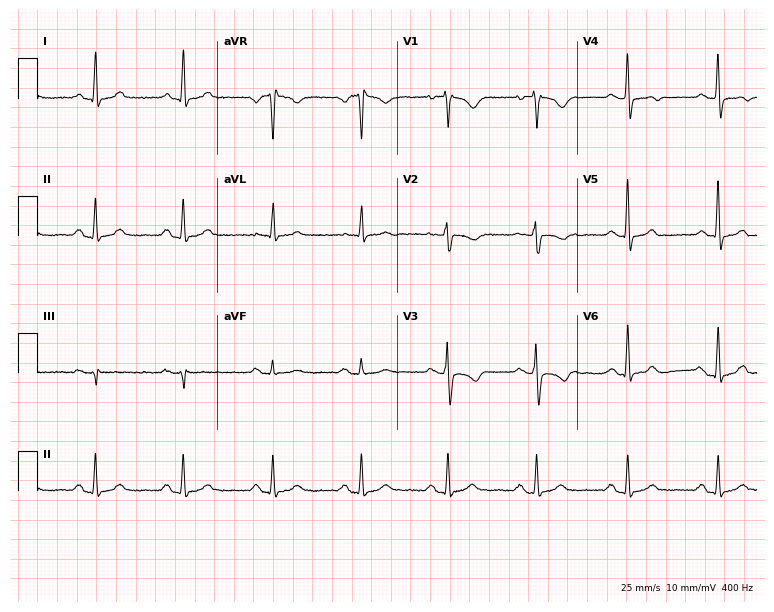
Electrocardiogram (7.3-second recording at 400 Hz), a female patient, 65 years old. Overall reading on record: normal ECG.